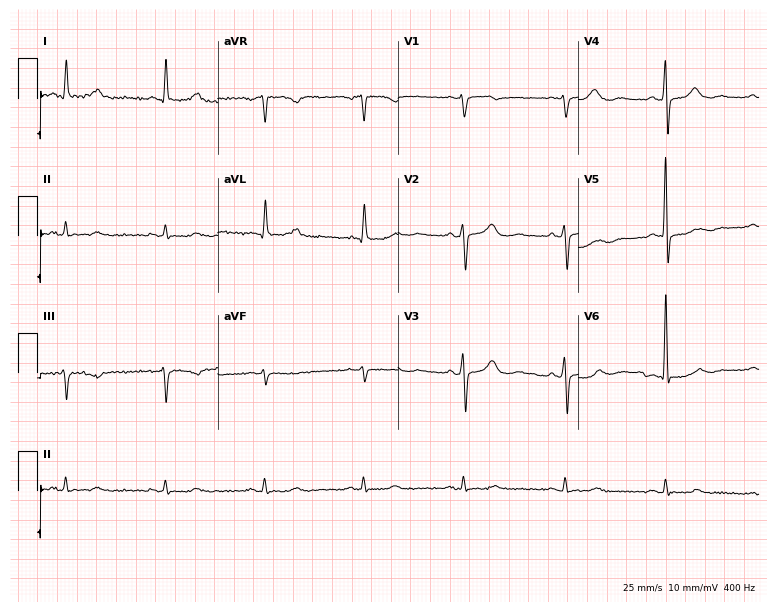
12-lead ECG from a male patient, 76 years old. Screened for six findings — first-degree AV block, right bundle branch block, left bundle branch block, sinus bradycardia, atrial fibrillation, sinus tachycardia — none is recorded.